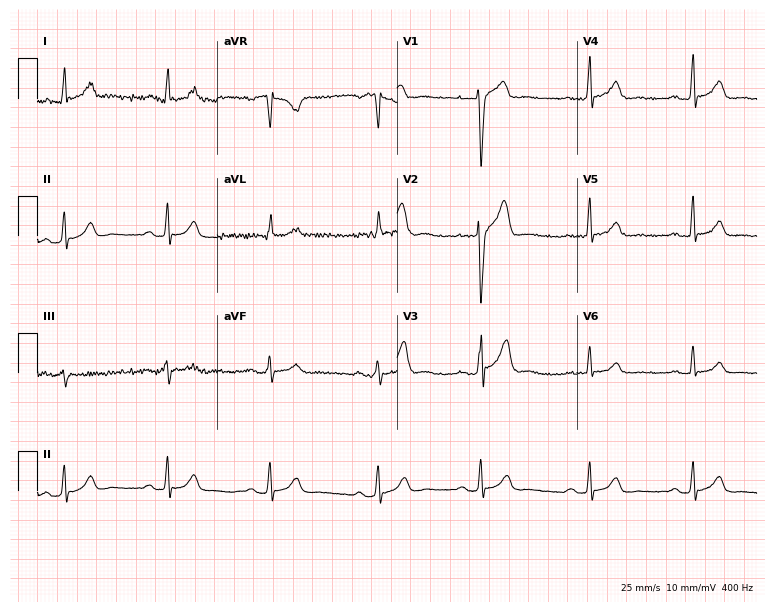
12-lead ECG from a male, 37 years old. Recorded interpretation: within normal limits.